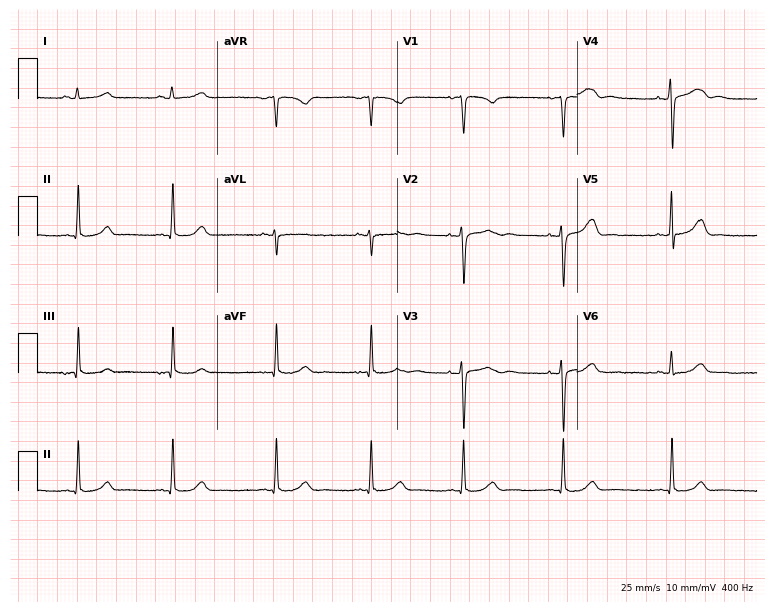
12-lead ECG (7.3-second recording at 400 Hz) from a 27-year-old female. Labelled as a normal ECG.